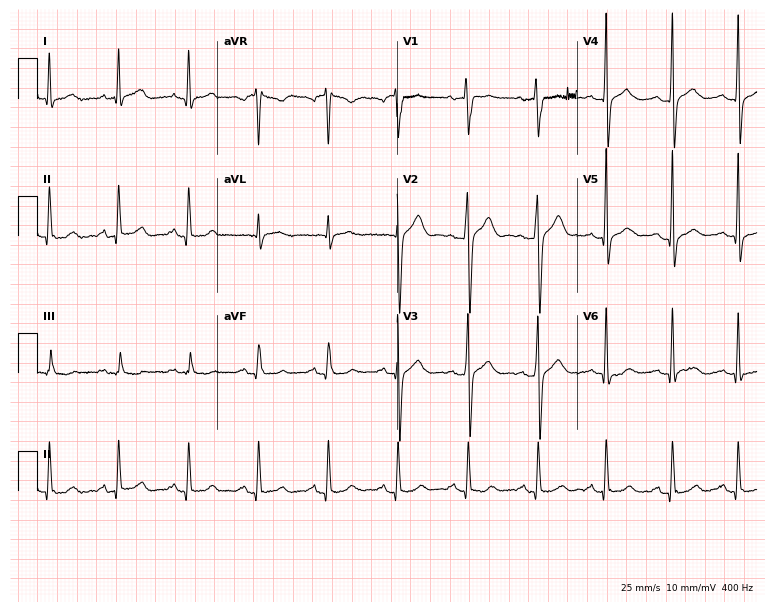
ECG (7.3-second recording at 400 Hz) — a male, 43 years old. Labelled as a normal ECG.